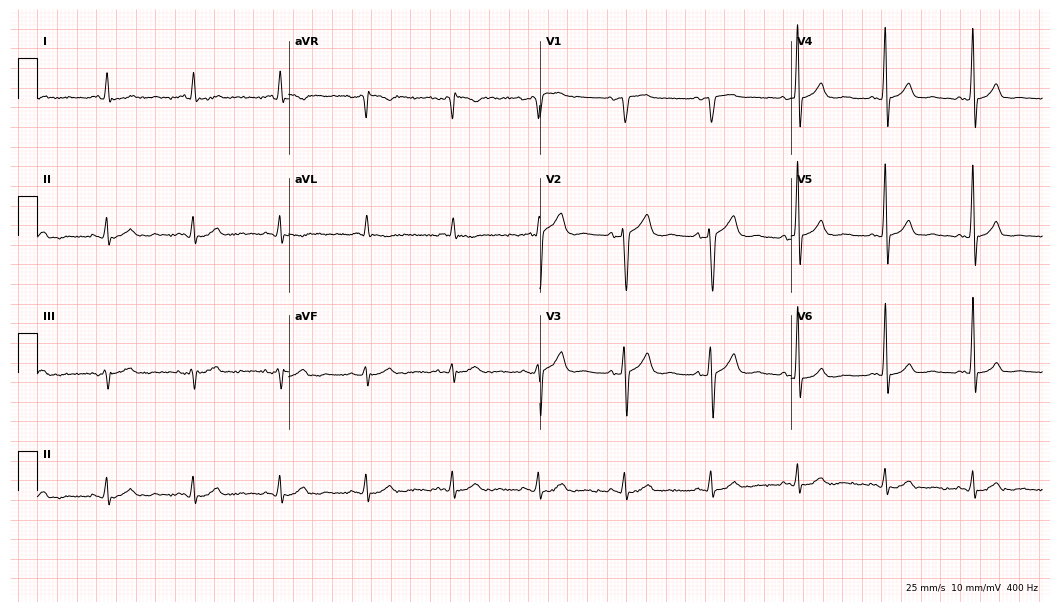
Standard 12-lead ECG recorded from a male, 61 years old (10.2-second recording at 400 Hz). None of these six findings is recorded: first-degree AV block, right bundle branch block, left bundle branch block, sinus bradycardia, atrial fibrillation, sinus tachycardia. Only these six findings were labelled.